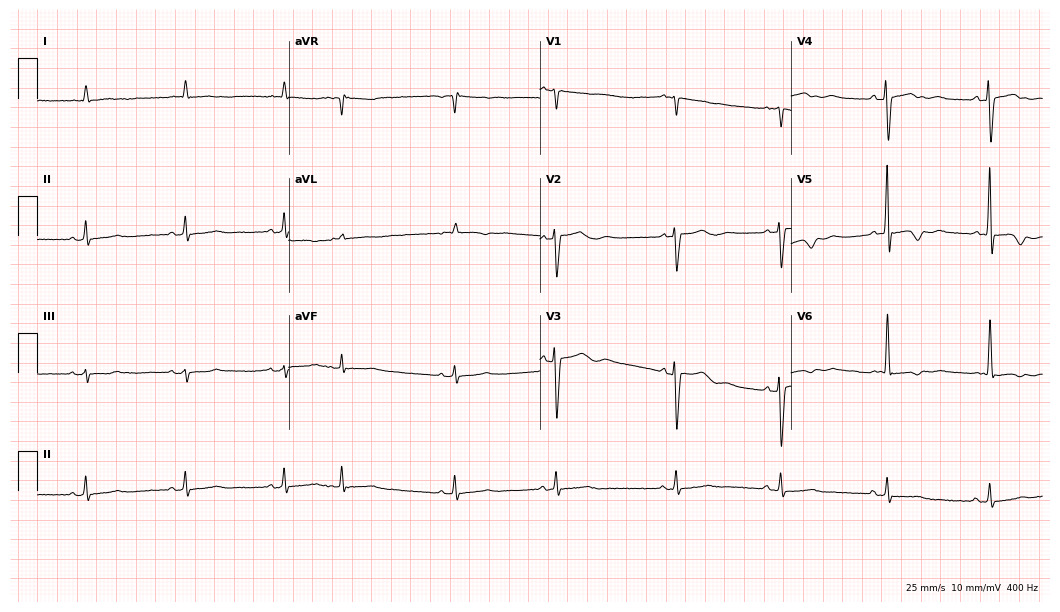
Resting 12-lead electrocardiogram. Patient: a woman, 75 years old. None of these six findings is recorded: first-degree AV block, right bundle branch block, left bundle branch block, sinus bradycardia, atrial fibrillation, sinus tachycardia. Only these six findings were labelled.